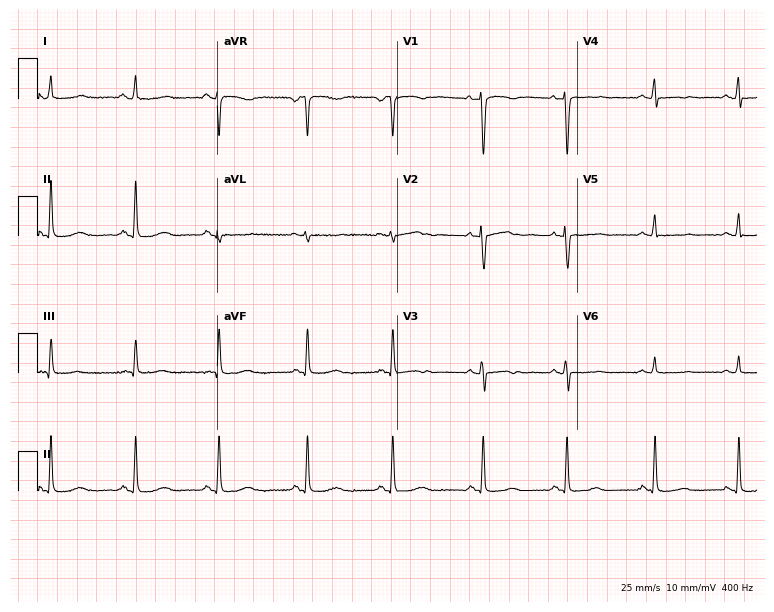
ECG (7.3-second recording at 400 Hz) — a female patient, 32 years old. Screened for six findings — first-degree AV block, right bundle branch block, left bundle branch block, sinus bradycardia, atrial fibrillation, sinus tachycardia — none is recorded.